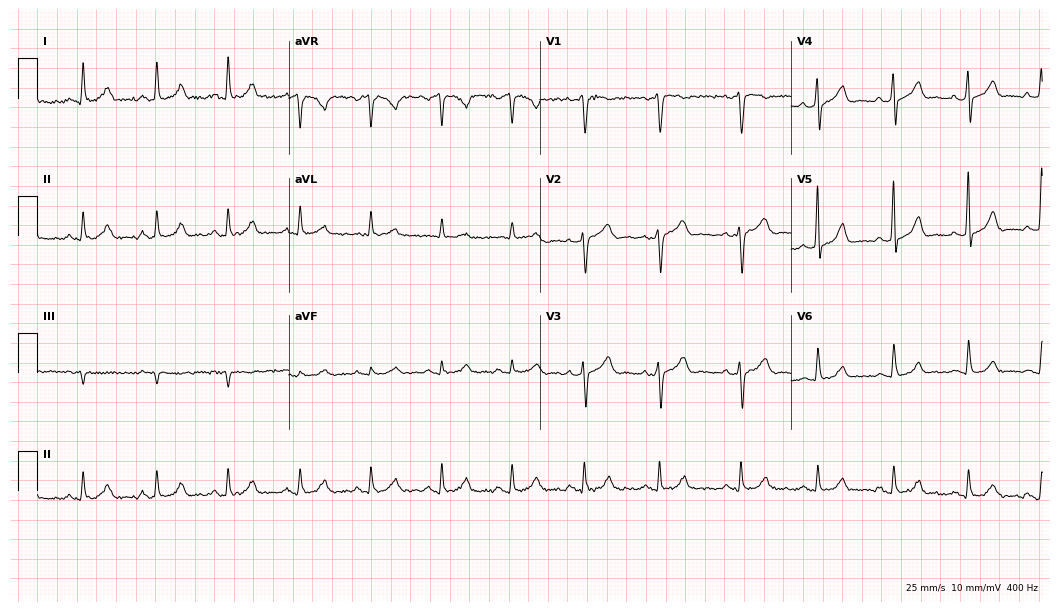
Electrocardiogram (10.2-second recording at 400 Hz), a 57-year-old male. Of the six screened findings (first-degree AV block, right bundle branch block, left bundle branch block, sinus bradycardia, atrial fibrillation, sinus tachycardia), none is recorded. Only these six findings were labelled.